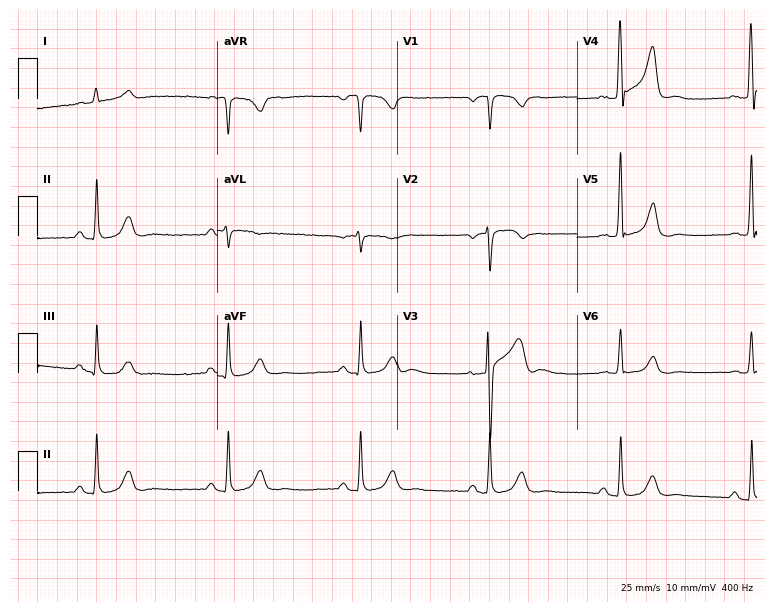
Electrocardiogram, an 80-year-old male patient. Interpretation includes sinus bradycardia (a sinus rate of 50 beats per minute or less).